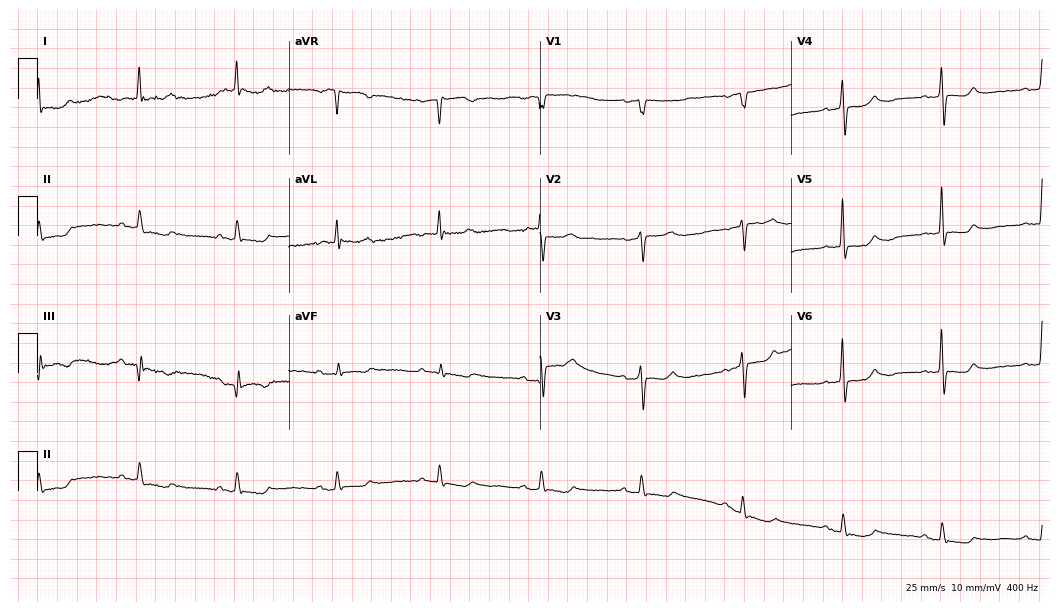
ECG — an 85-year-old female. Screened for six findings — first-degree AV block, right bundle branch block, left bundle branch block, sinus bradycardia, atrial fibrillation, sinus tachycardia — none is recorded.